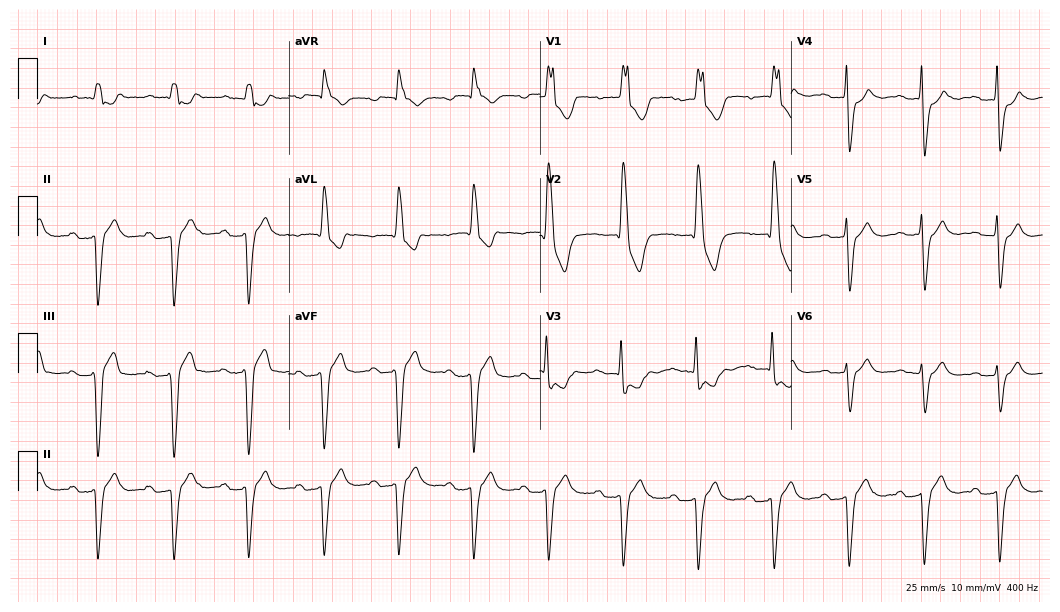
12-lead ECG from a female, 83 years old (10.2-second recording at 400 Hz). Shows first-degree AV block, right bundle branch block (RBBB).